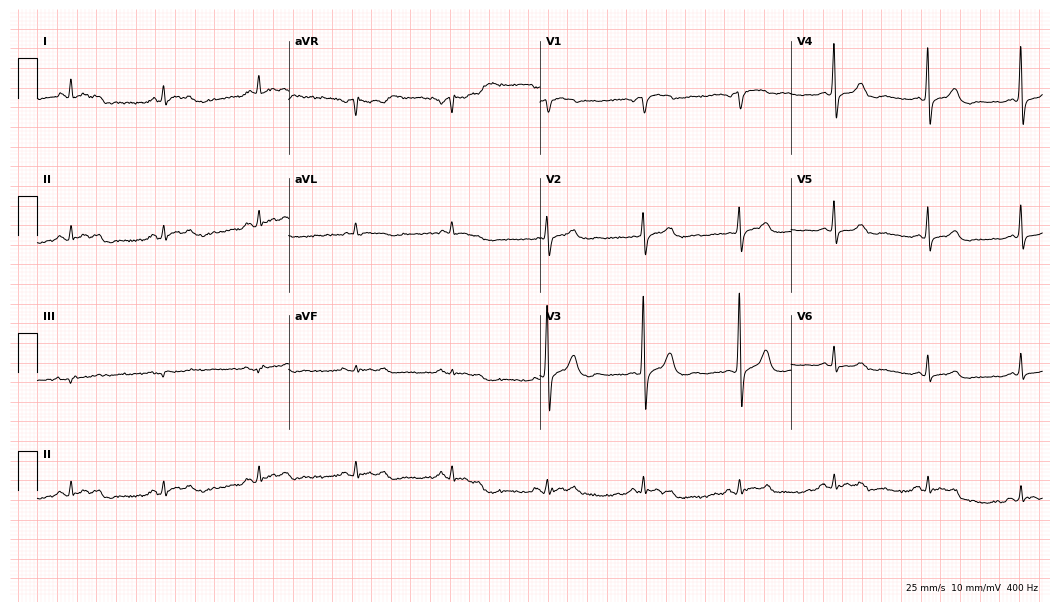
12-lead ECG from an 85-year-old man. No first-degree AV block, right bundle branch block, left bundle branch block, sinus bradycardia, atrial fibrillation or sinus tachycardia recorded for this tracing.